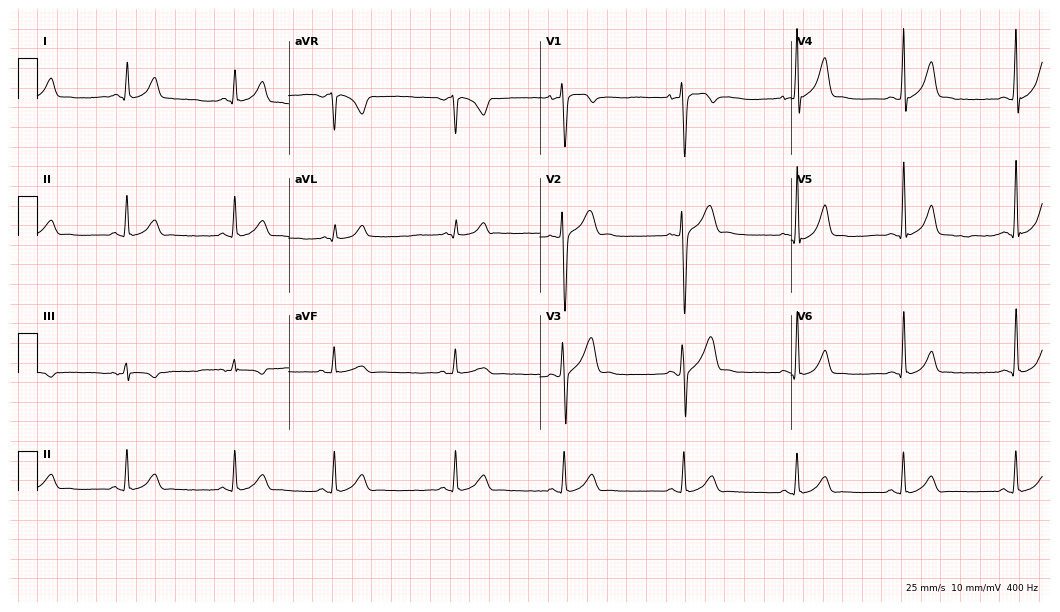
12-lead ECG from a male, 23 years old. No first-degree AV block, right bundle branch block (RBBB), left bundle branch block (LBBB), sinus bradycardia, atrial fibrillation (AF) or sinus tachycardia recorded for this tracing.